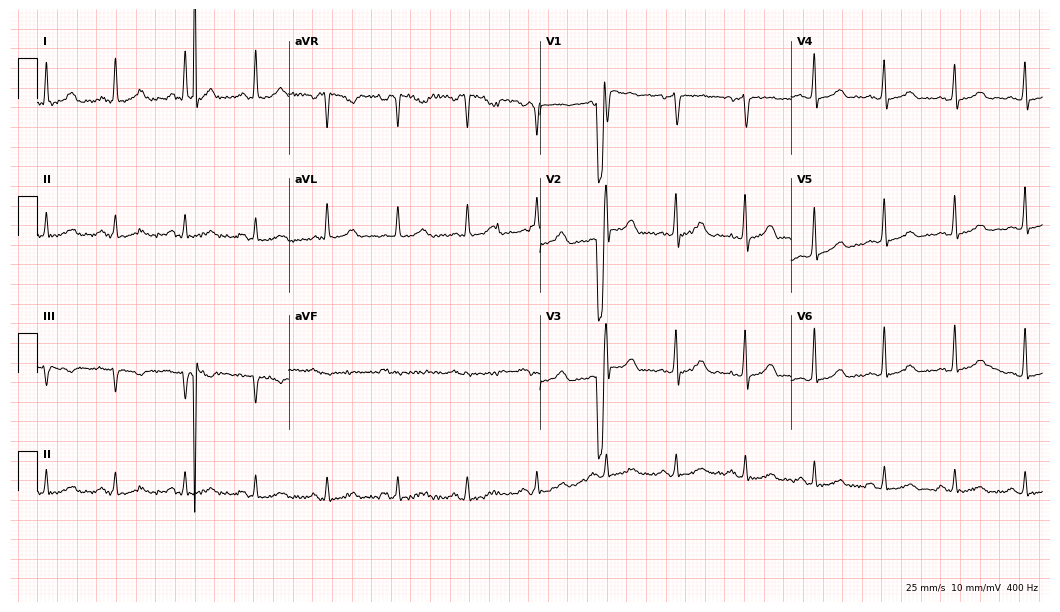
12-lead ECG from a male, 51 years old (10.2-second recording at 400 Hz). Recorded interpretation: within normal limits.